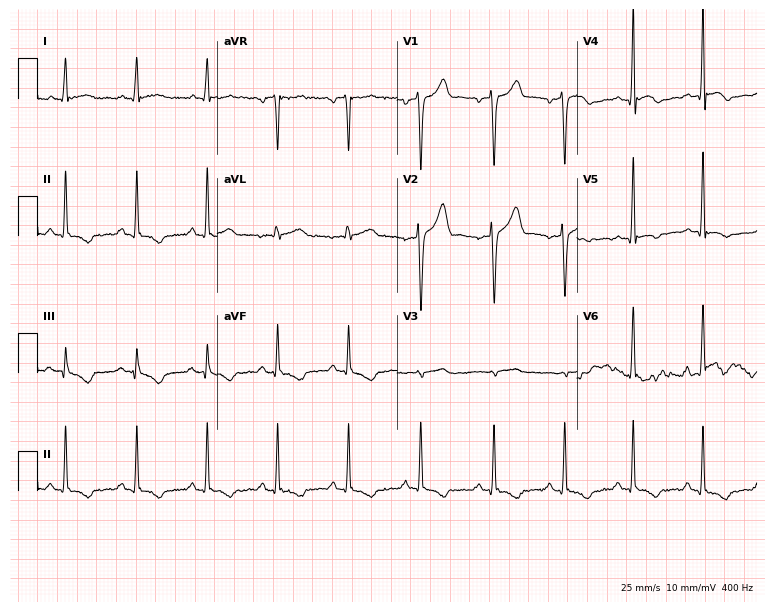
12-lead ECG from a male patient, 42 years old (7.3-second recording at 400 Hz). No first-degree AV block, right bundle branch block, left bundle branch block, sinus bradycardia, atrial fibrillation or sinus tachycardia recorded for this tracing.